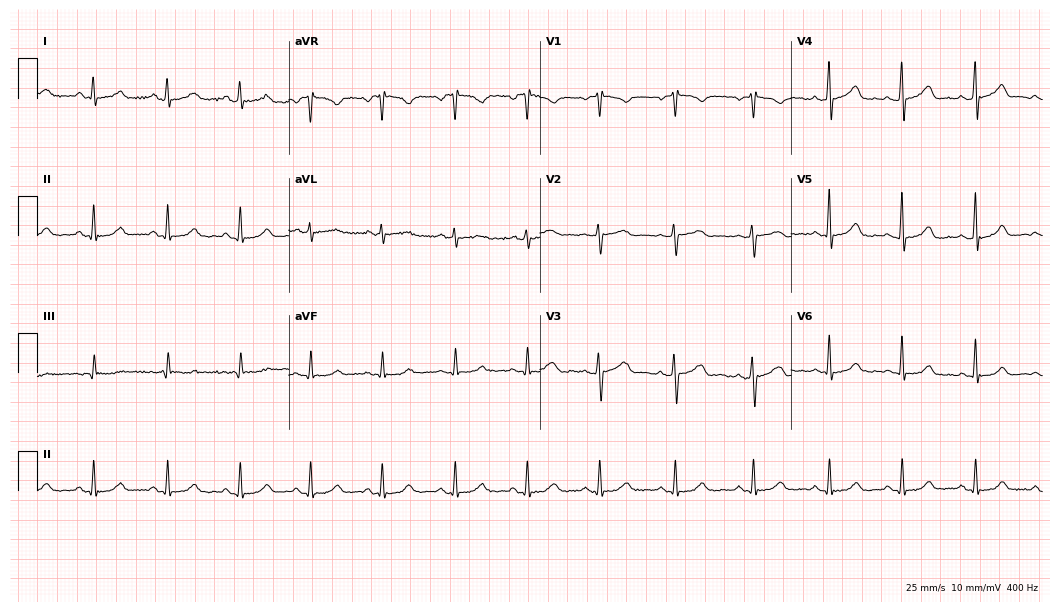
Resting 12-lead electrocardiogram (10.2-second recording at 400 Hz). Patient: a woman, 44 years old. Read as a normal ECG.